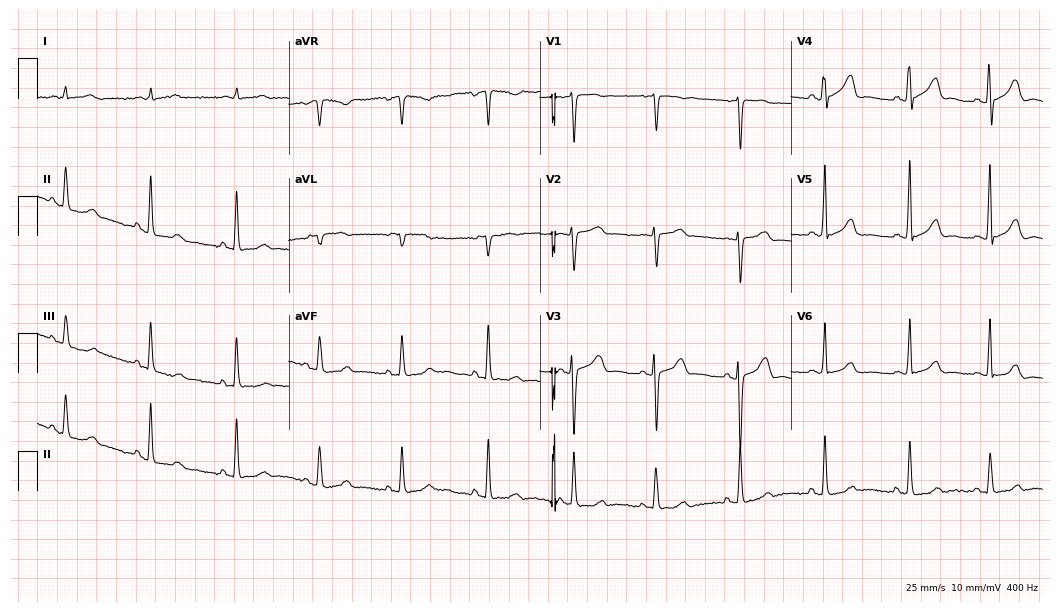
12-lead ECG (10.2-second recording at 400 Hz) from a woman, 68 years old. Labelled as a normal ECG.